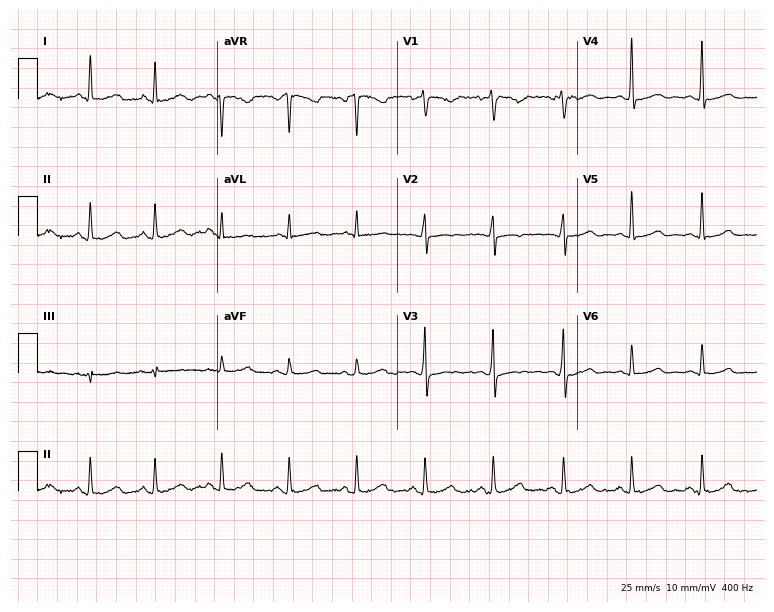
Electrocardiogram, a 36-year-old female. Overall reading on record: normal ECG.